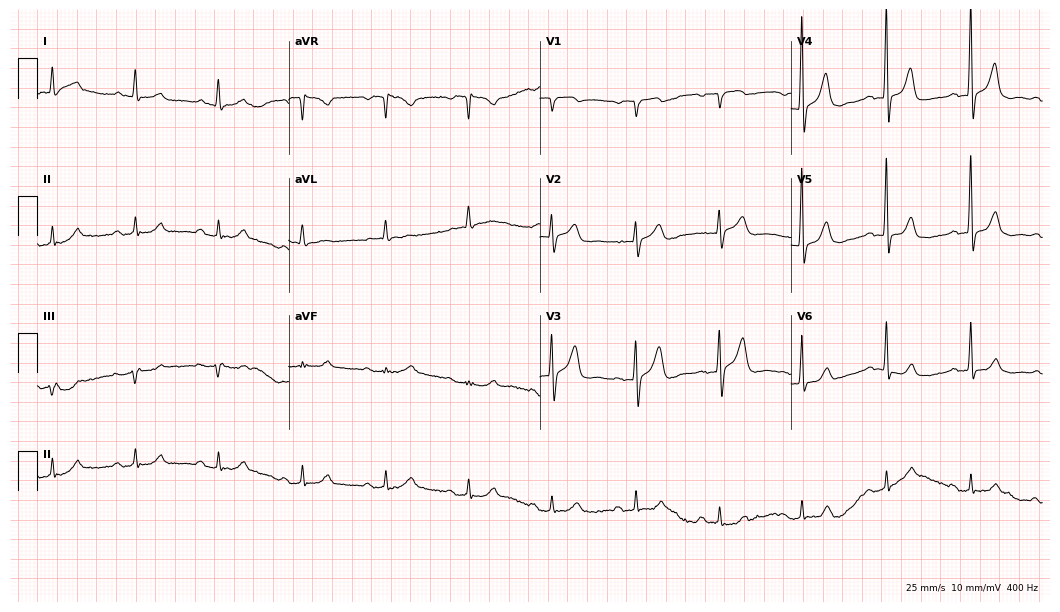
Resting 12-lead electrocardiogram (10.2-second recording at 400 Hz). Patient: an 84-year-old male. Read as a normal ECG.